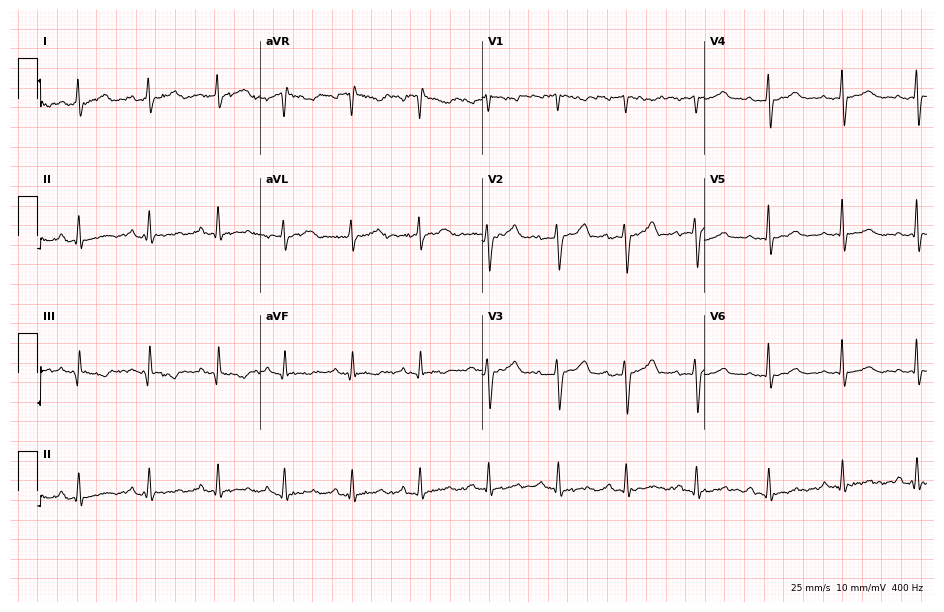
ECG — a female patient, 44 years old. Screened for six findings — first-degree AV block, right bundle branch block, left bundle branch block, sinus bradycardia, atrial fibrillation, sinus tachycardia — none is recorded. Findings outside these six are not listed.